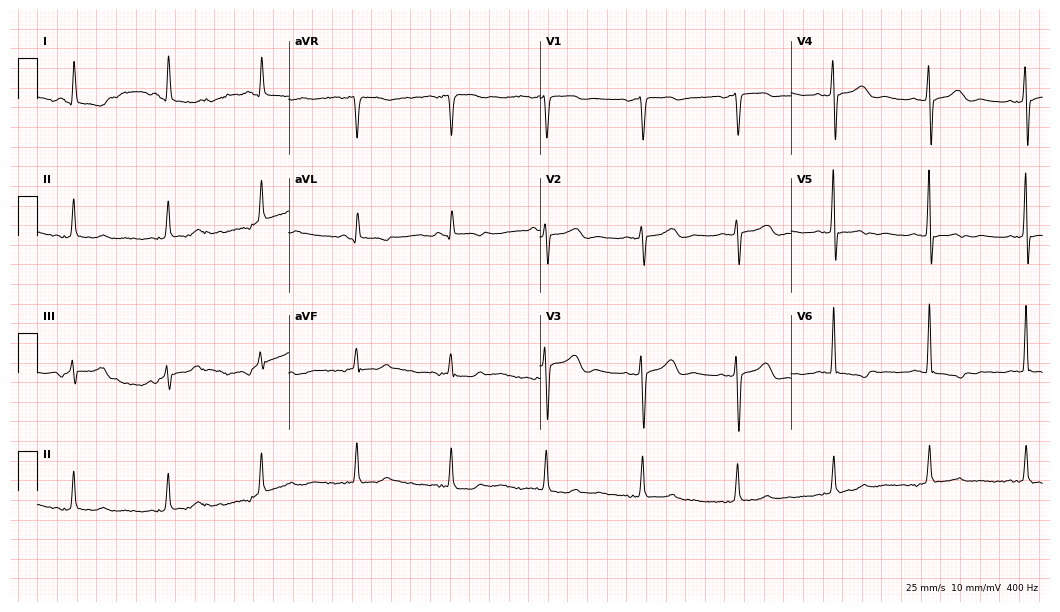
Electrocardiogram (10.2-second recording at 400 Hz), an 84-year-old female. Of the six screened findings (first-degree AV block, right bundle branch block (RBBB), left bundle branch block (LBBB), sinus bradycardia, atrial fibrillation (AF), sinus tachycardia), none is recorded. Only these six findings were labelled.